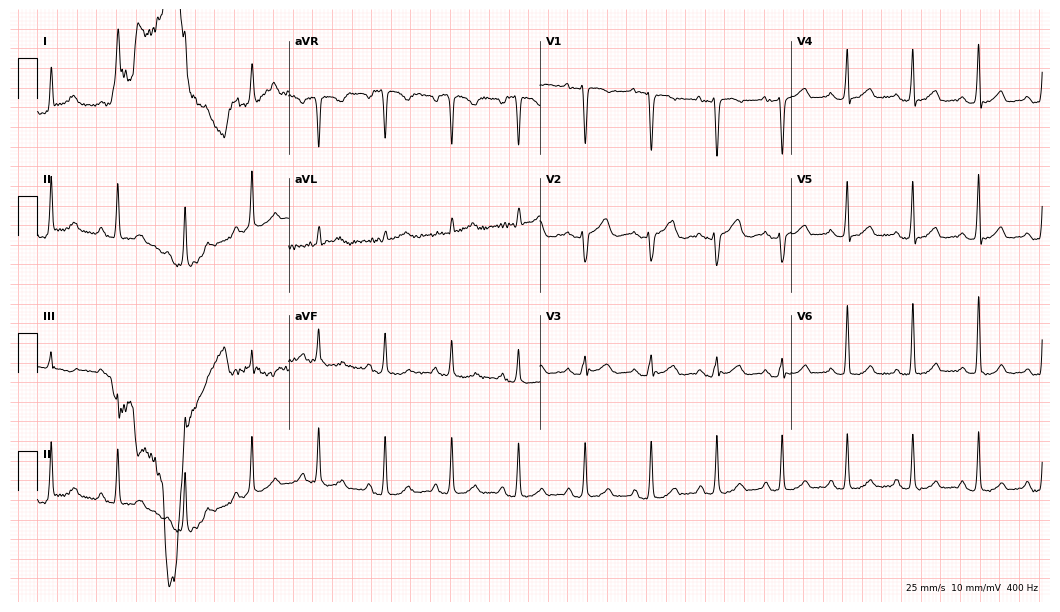
12-lead ECG from a female, 44 years old. Screened for six findings — first-degree AV block, right bundle branch block, left bundle branch block, sinus bradycardia, atrial fibrillation, sinus tachycardia — none is recorded. Findings outside these six are not listed.